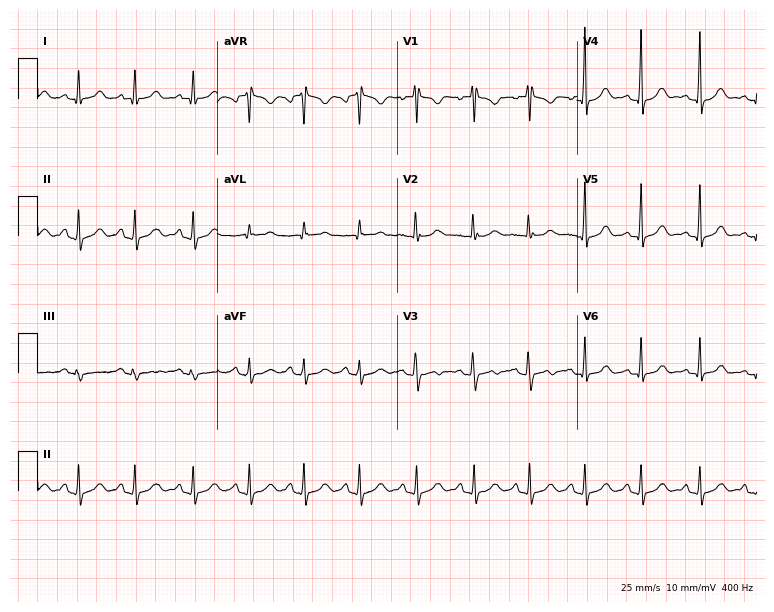
Resting 12-lead electrocardiogram. Patient: a 24-year-old female. The tracing shows sinus tachycardia (a sinus rate of 100 beats per minute or more).